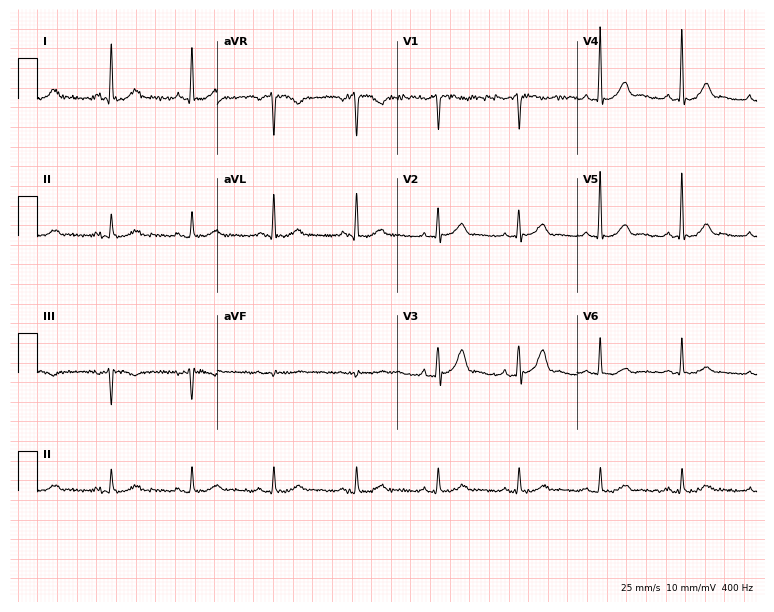
Standard 12-lead ECG recorded from a male patient, 80 years old. Read as a normal ECG.